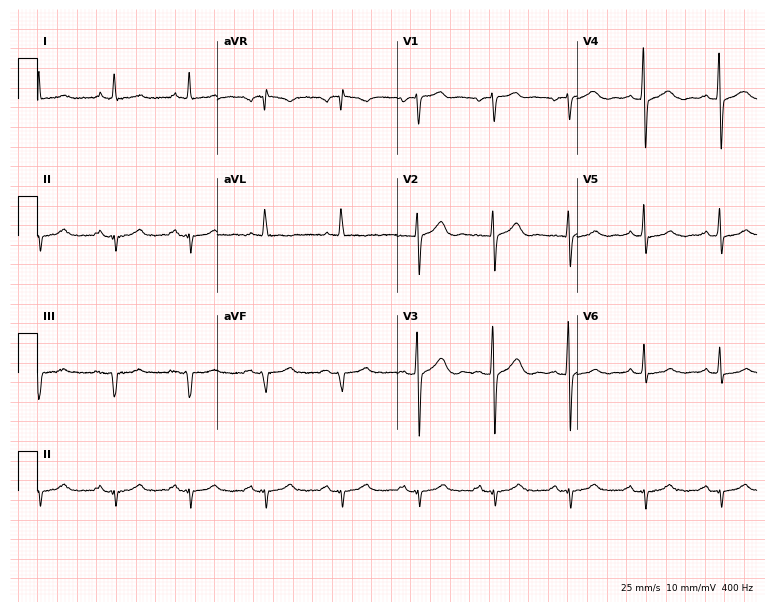
12-lead ECG (7.3-second recording at 400 Hz) from a male, 64 years old. Screened for six findings — first-degree AV block, right bundle branch block, left bundle branch block, sinus bradycardia, atrial fibrillation, sinus tachycardia — none is recorded. Findings outside these six are not listed.